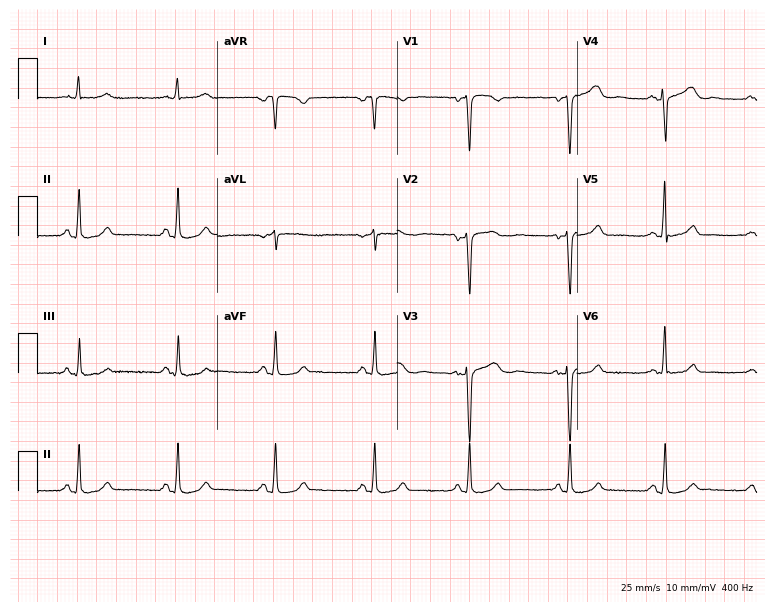
Electrocardiogram, a female, 34 years old. Overall reading on record: normal ECG.